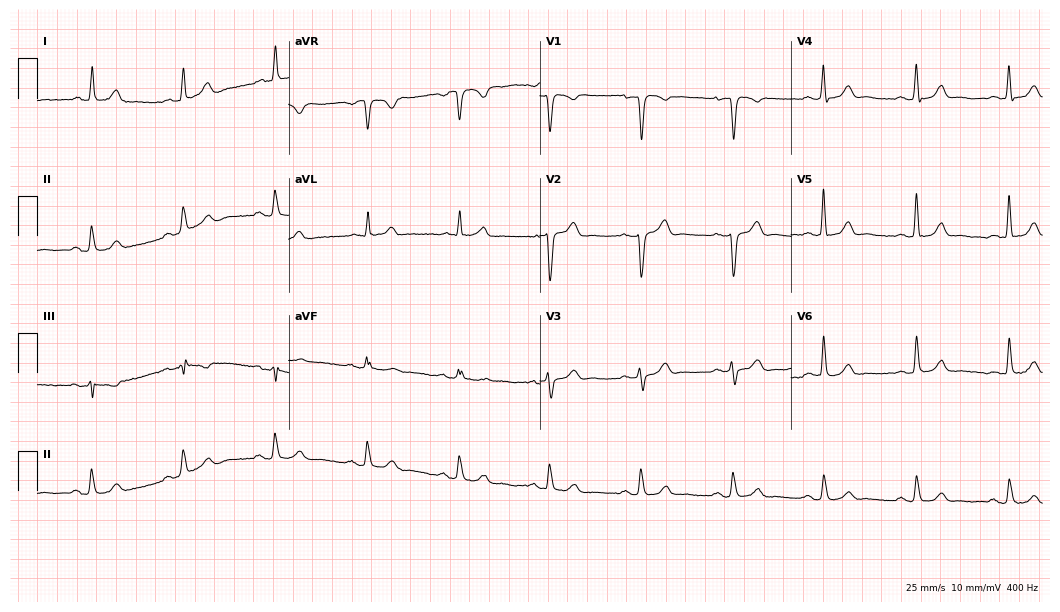
Resting 12-lead electrocardiogram (10.2-second recording at 400 Hz). Patient: a 62-year-old male. Read as a normal ECG.